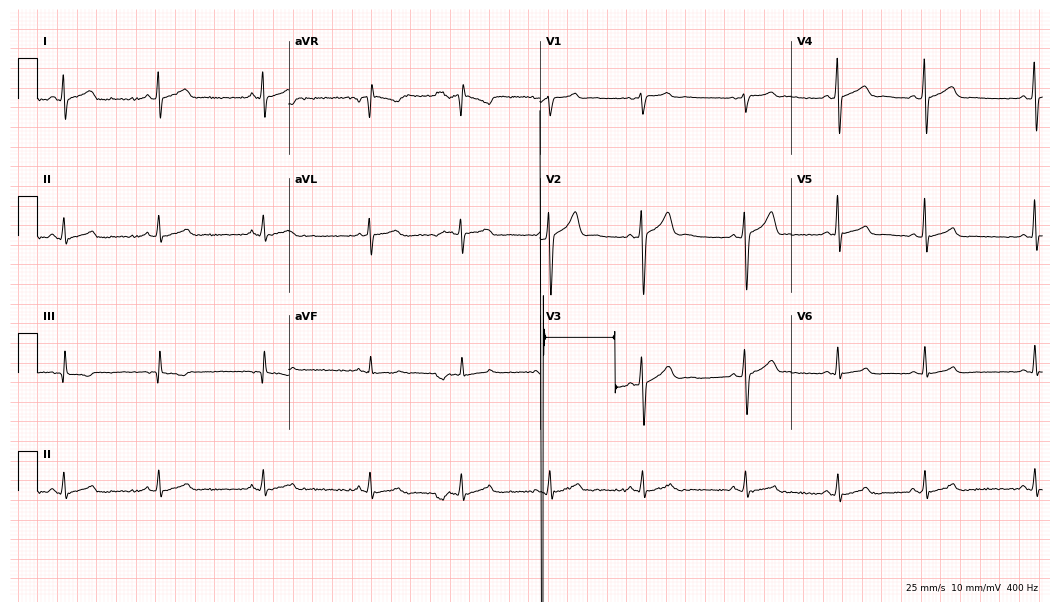
12-lead ECG from a man, 28 years old (10.2-second recording at 400 Hz). Recorded interpretation: within normal limits.